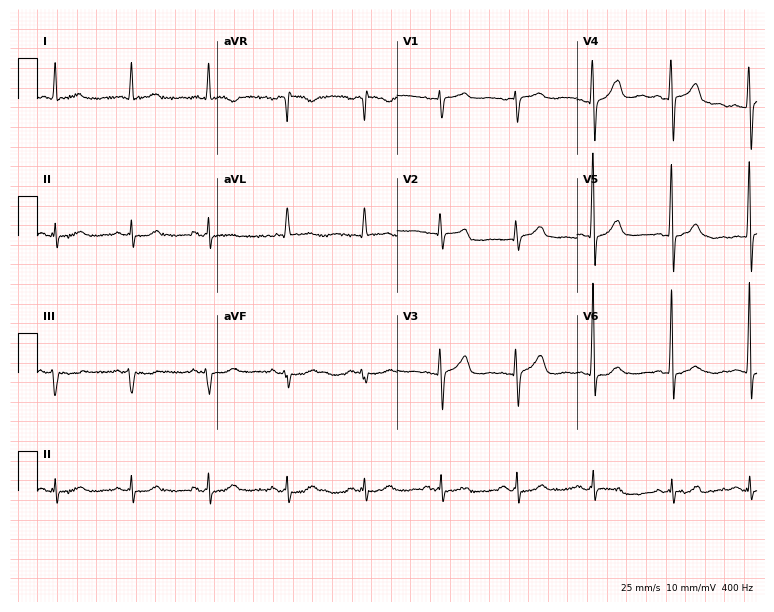
12-lead ECG (7.3-second recording at 400 Hz) from a female patient, 80 years old. Labelled as a normal ECG.